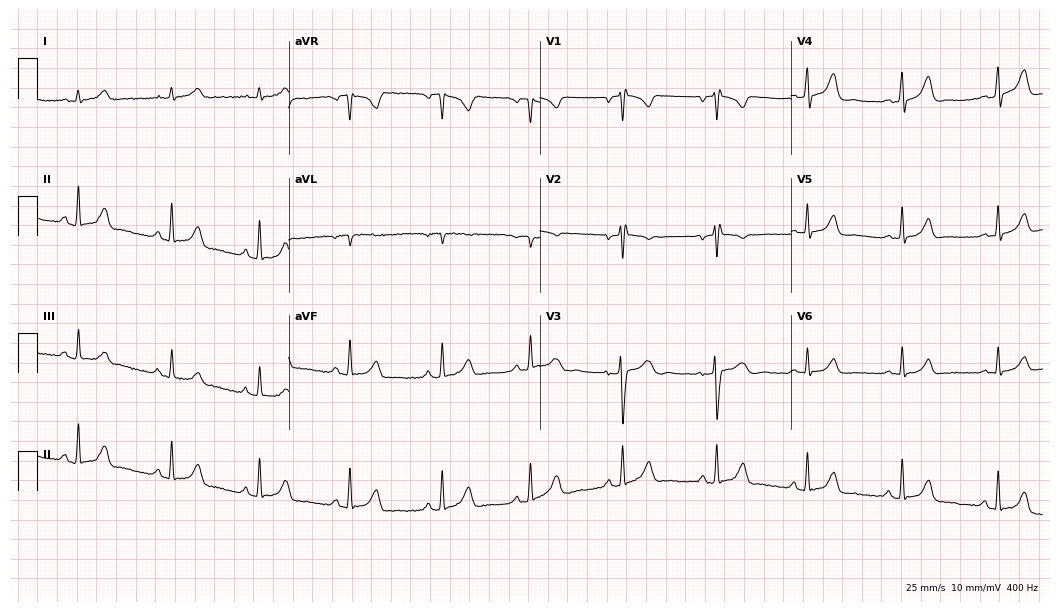
12-lead ECG from a woman, 27 years old (10.2-second recording at 400 Hz). Recorded interpretation: within normal limits.